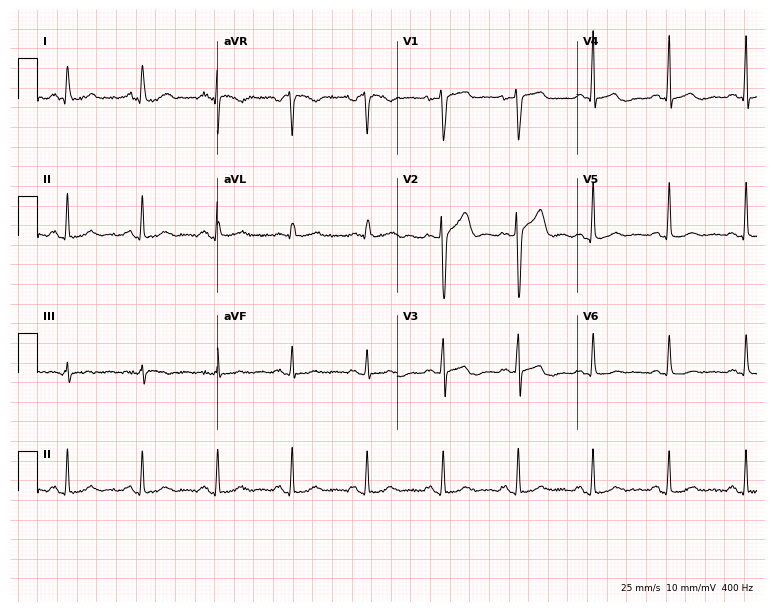
12-lead ECG from a 52-year-old female. Recorded interpretation: within normal limits.